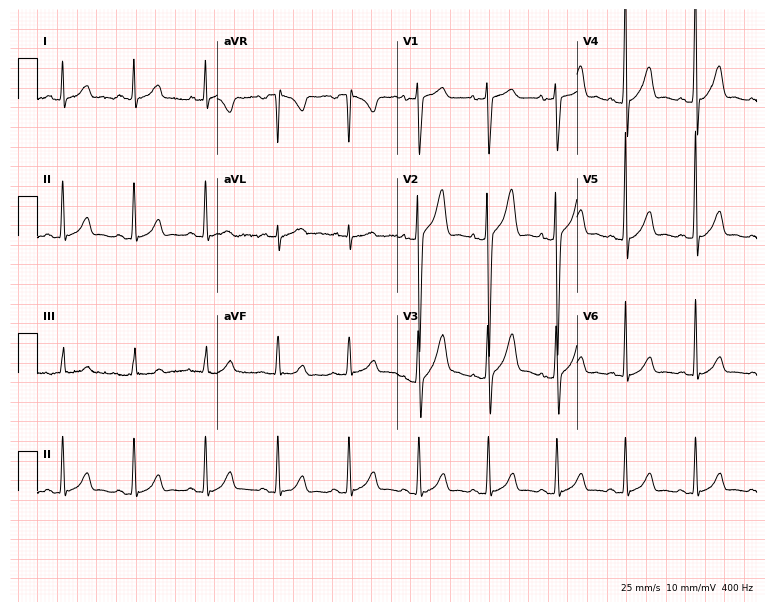
Electrocardiogram (7.3-second recording at 400 Hz), a male patient, 22 years old. Overall reading on record: normal ECG.